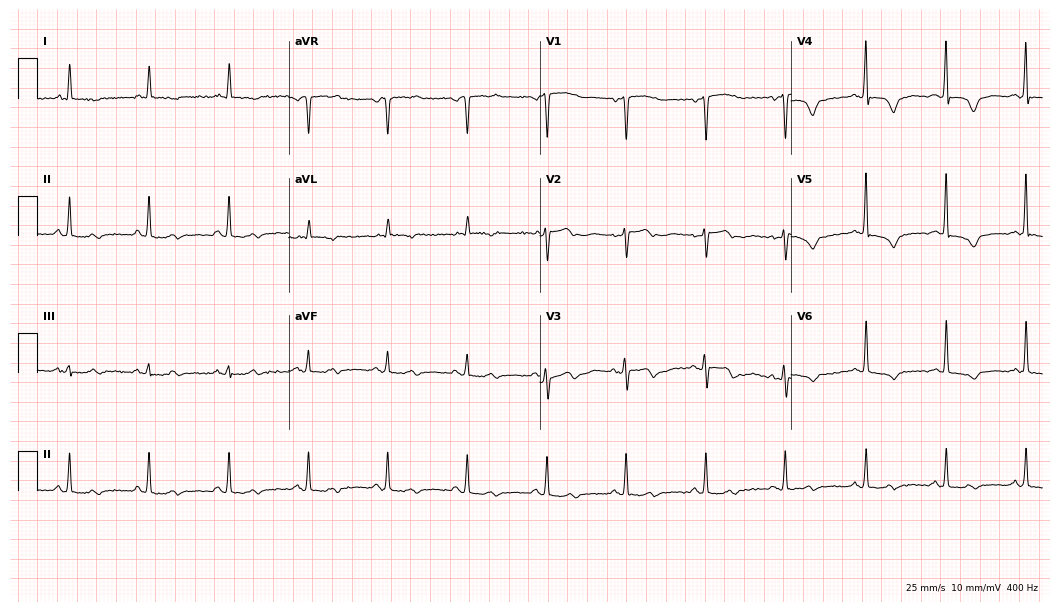
Electrocardiogram, a 76-year-old woman. Of the six screened findings (first-degree AV block, right bundle branch block, left bundle branch block, sinus bradycardia, atrial fibrillation, sinus tachycardia), none is recorded. Findings outside these six are not listed.